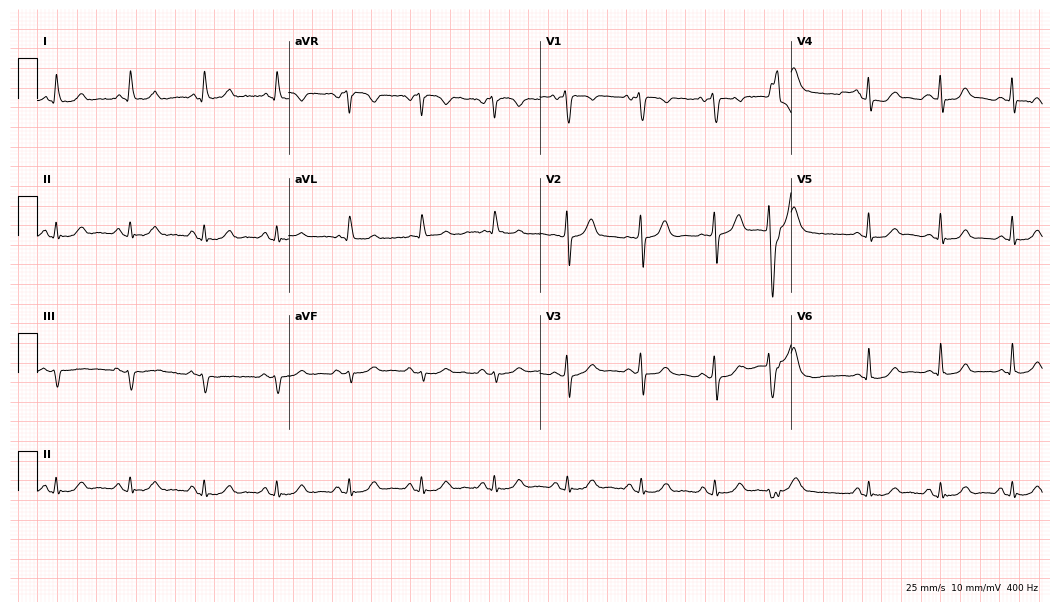
Standard 12-lead ECG recorded from a man, 80 years old (10.2-second recording at 400 Hz). Read as a normal ECG.